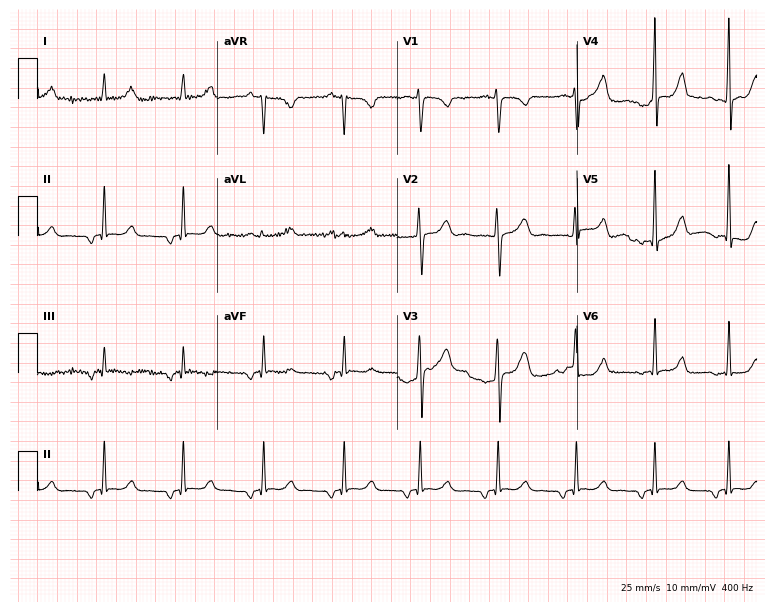
12-lead ECG from a woman, 33 years old. No first-degree AV block, right bundle branch block, left bundle branch block, sinus bradycardia, atrial fibrillation or sinus tachycardia recorded for this tracing. Only these six findings were labelled.